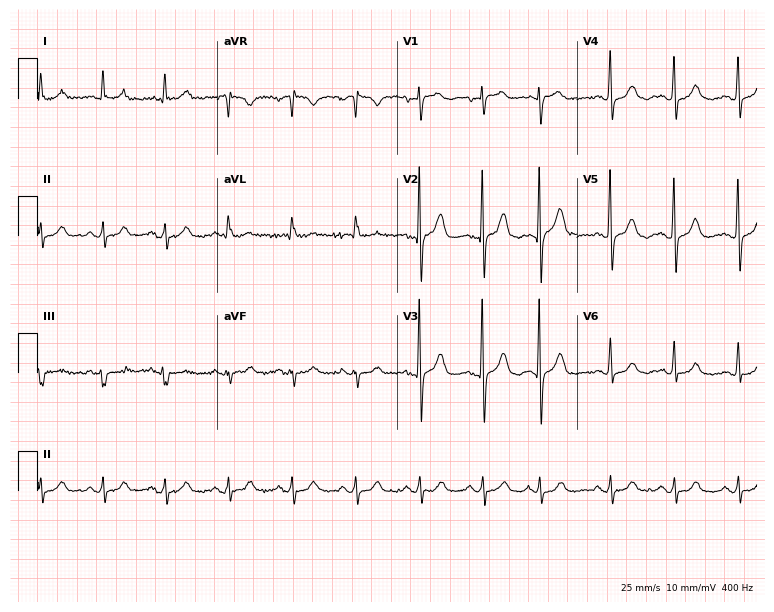
12-lead ECG from a 78-year-old female. Screened for six findings — first-degree AV block, right bundle branch block, left bundle branch block, sinus bradycardia, atrial fibrillation, sinus tachycardia — none is recorded. Only these six findings were labelled.